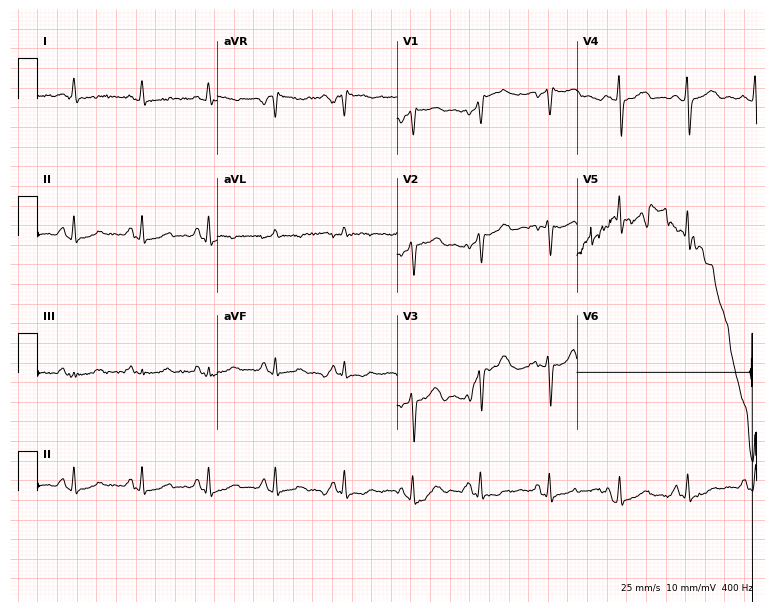
Electrocardiogram, a 51-year-old female. Of the six screened findings (first-degree AV block, right bundle branch block, left bundle branch block, sinus bradycardia, atrial fibrillation, sinus tachycardia), none is recorded.